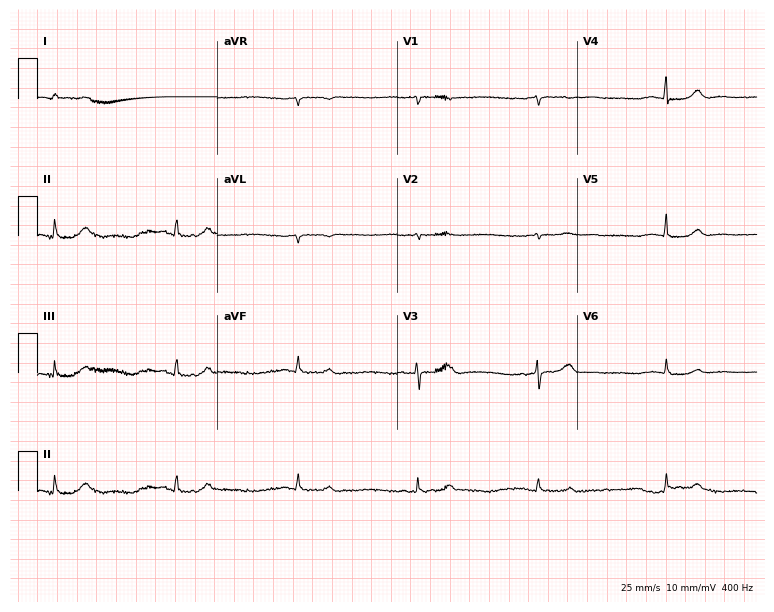
Standard 12-lead ECG recorded from a female patient, 84 years old. None of these six findings is recorded: first-degree AV block, right bundle branch block, left bundle branch block, sinus bradycardia, atrial fibrillation, sinus tachycardia. Only these six findings were labelled.